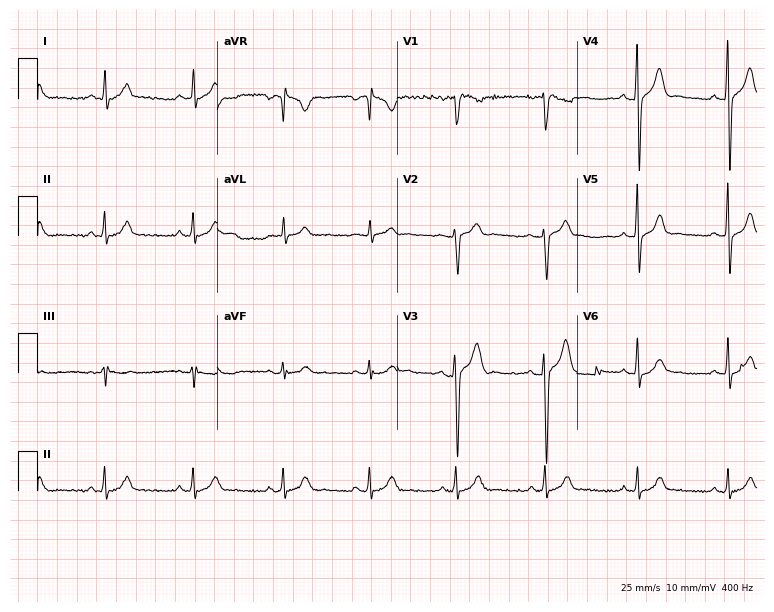
ECG — a 33-year-old male patient. Labelled as a normal ECG.